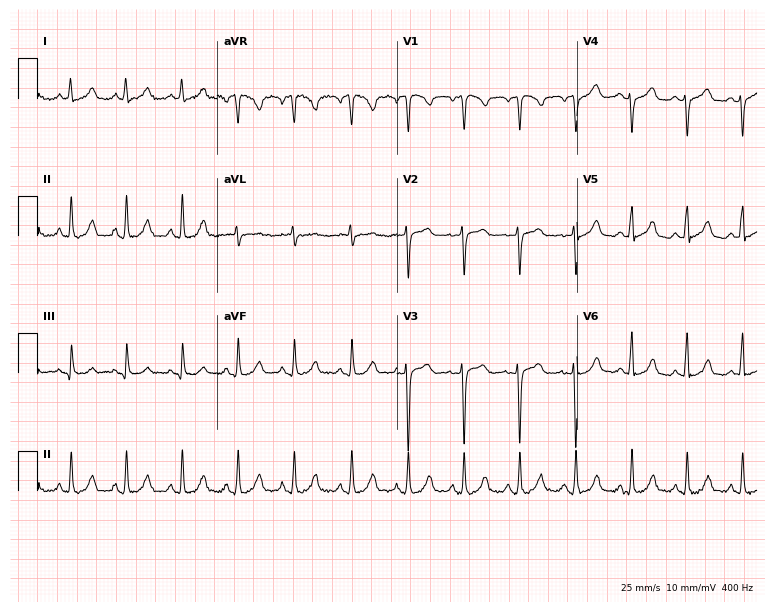
Resting 12-lead electrocardiogram (7.3-second recording at 400 Hz). Patient: a 61-year-old female. None of these six findings is recorded: first-degree AV block, right bundle branch block, left bundle branch block, sinus bradycardia, atrial fibrillation, sinus tachycardia.